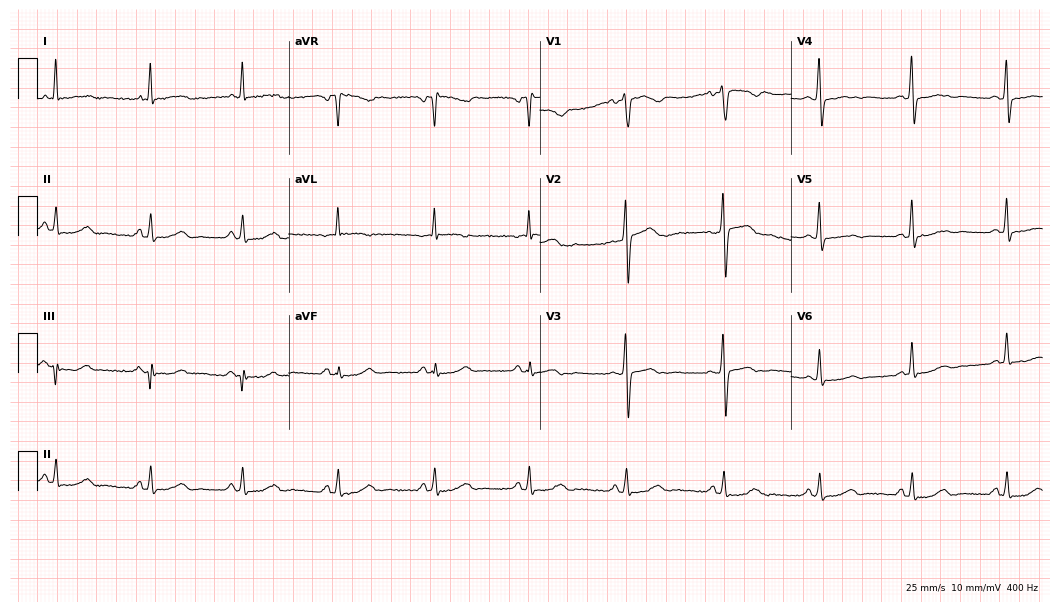
Electrocardiogram, a male patient, 50 years old. Of the six screened findings (first-degree AV block, right bundle branch block, left bundle branch block, sinus bradycardia, atrial fibrillation, sinus tachycardia), none is recorded.